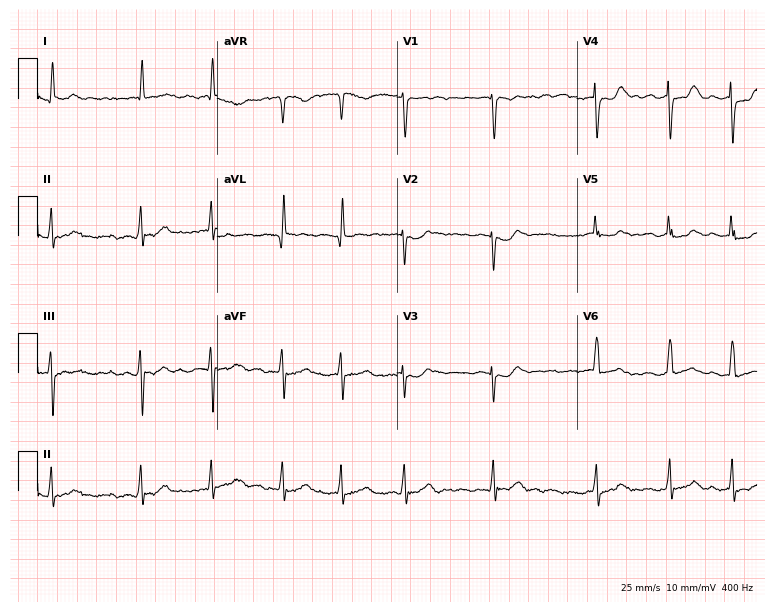
12-lead ECG (7.3-second recording at 400 Hz) from a female, 79 years old. Findings include atrial fibrillation.